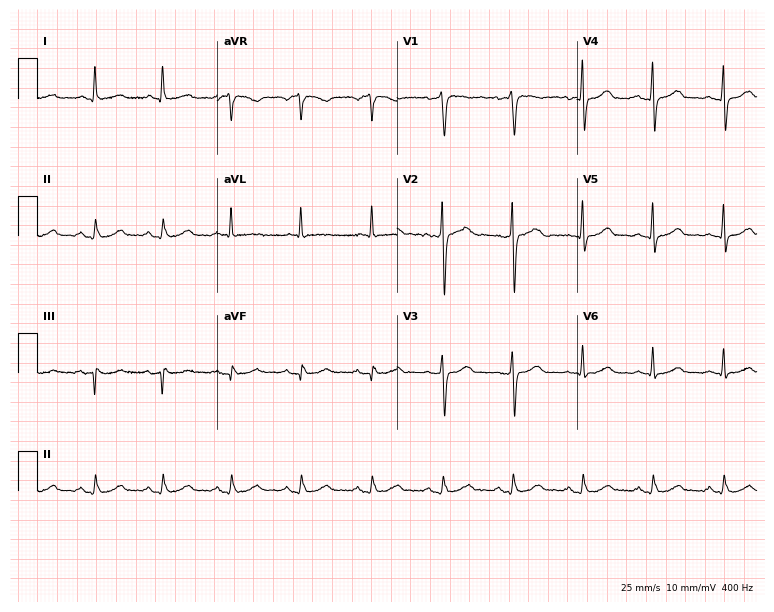
ECG — a 52-year-old man. Labelled as a normal ECG.